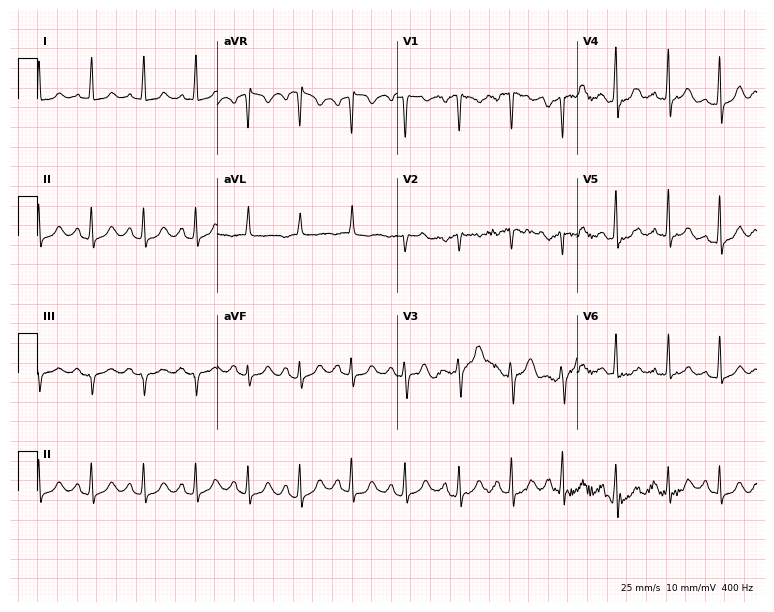
Standard 12-lead ECG recorded from a woman, 48 years old (7.3-second recording at 400 Hz). The tracing shows sinus tachycardia (a sinus rate of 100 beats per minute or more).